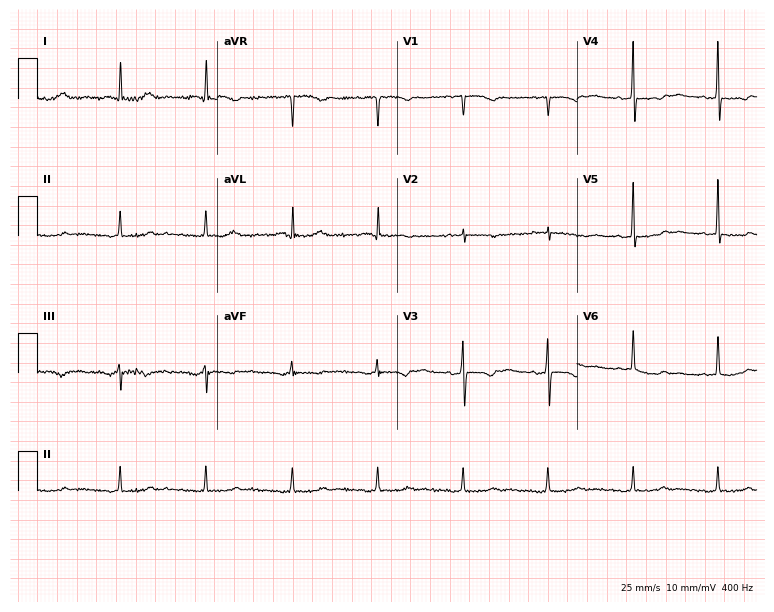
Electrocardiogram (7.3-second recording at 400 Hz), an 84-year-old female. Of the six screened findings (first-degree AV block, right bundle branch block, left bundle branch block, sinus bradycardia, atrial fibrillation, sinus tachycardia), none is recorded.